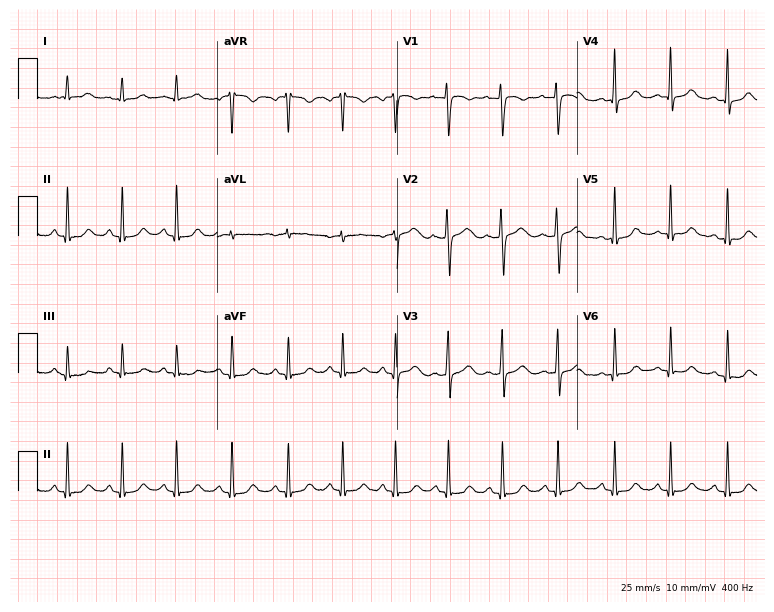
Electrocardiogram, a female, 22 years old. Interpretation includes sinus tachycardia (a sinus rate of 100 beats per minute or more).